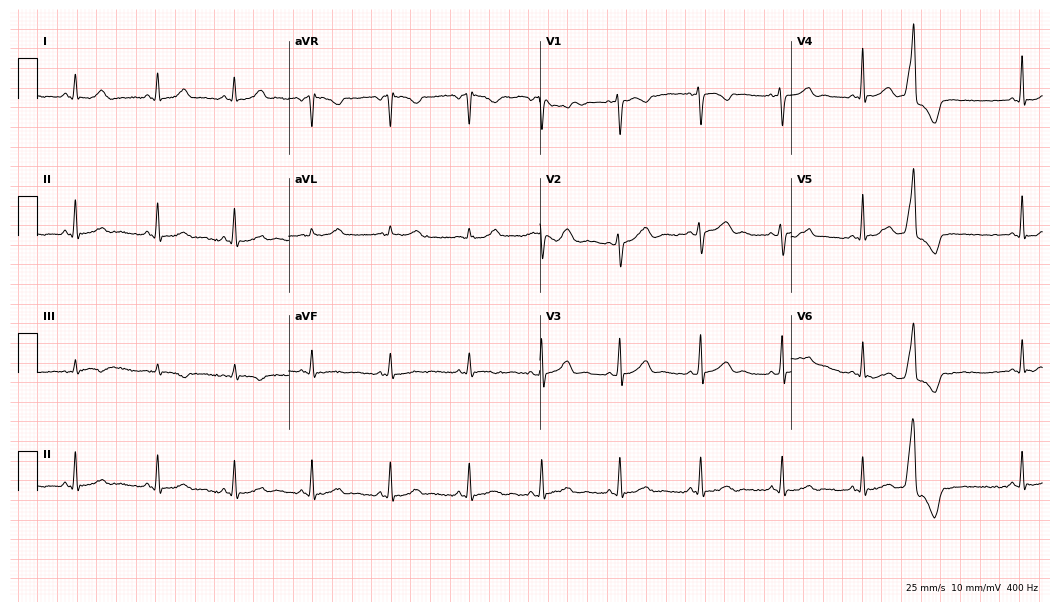
Standard 12-lead ECG recorded from a 41-year-old woman. Read as a normal ECG.